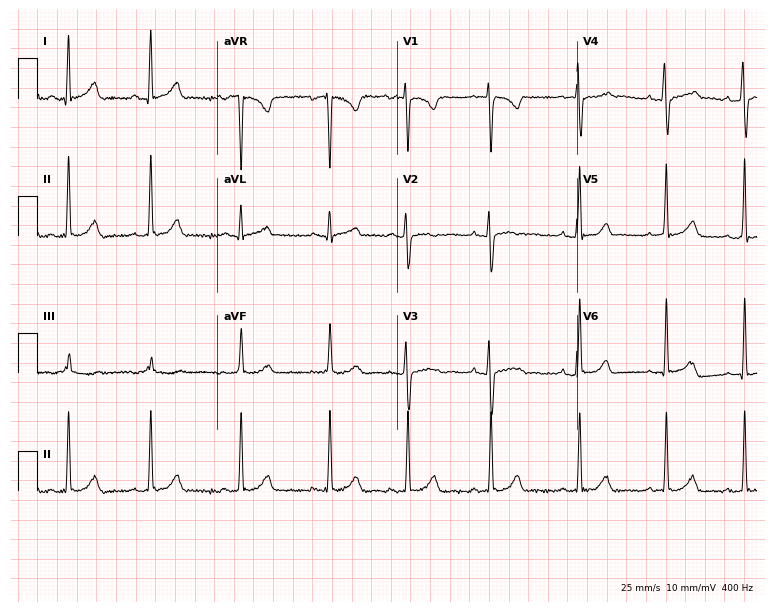
12-lead ECG from a woman, 23 years old. Recorded interpretation: within normal limits.